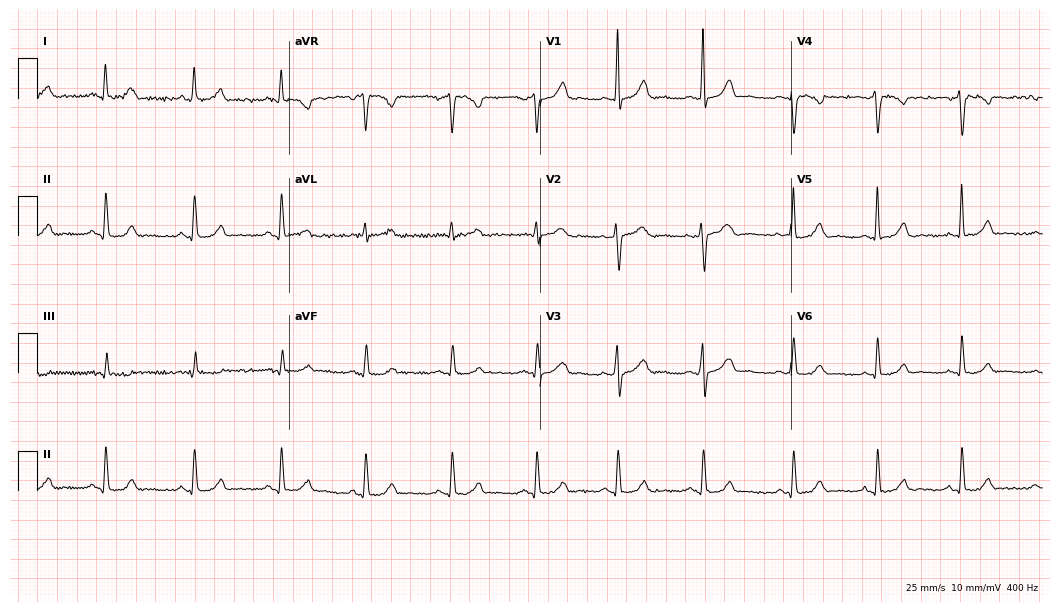
12-lead ECG from a female patient, 33 years old. Labelled as a normal ECG.